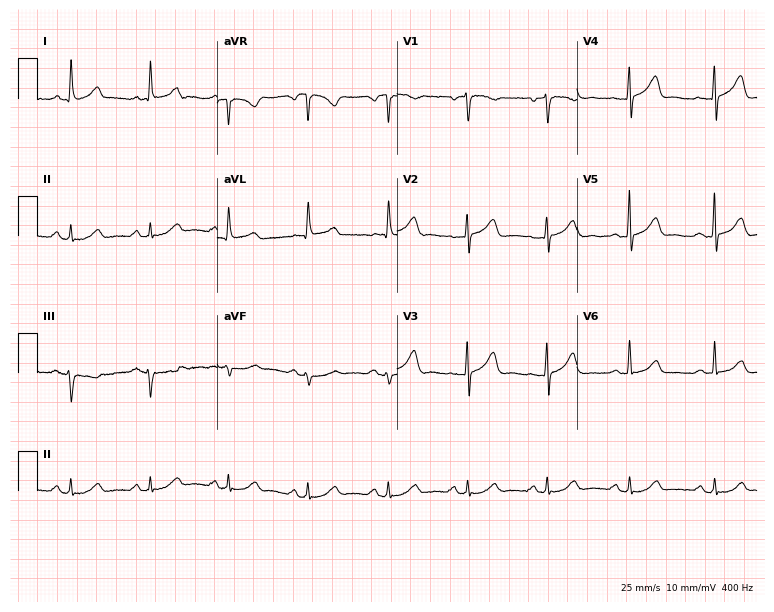
12-lead ECG from a female, 67 years old. Labelled as a normal ECG.